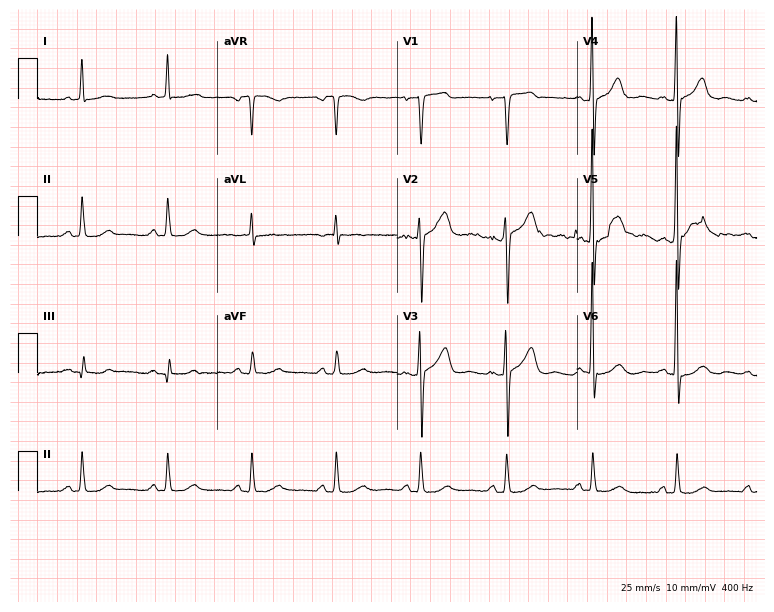
ECG — an 80-year-old male patient. Labelled as a normal ECG.